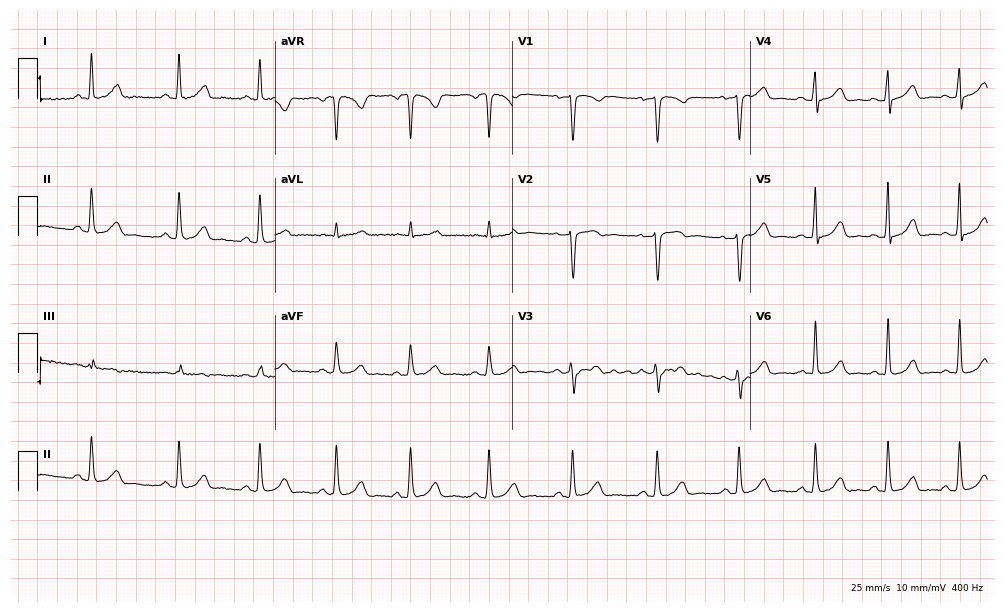
Resting 12-lead electrocardiogram. Patient: a female, 38 years old. Read as a normal ECG.